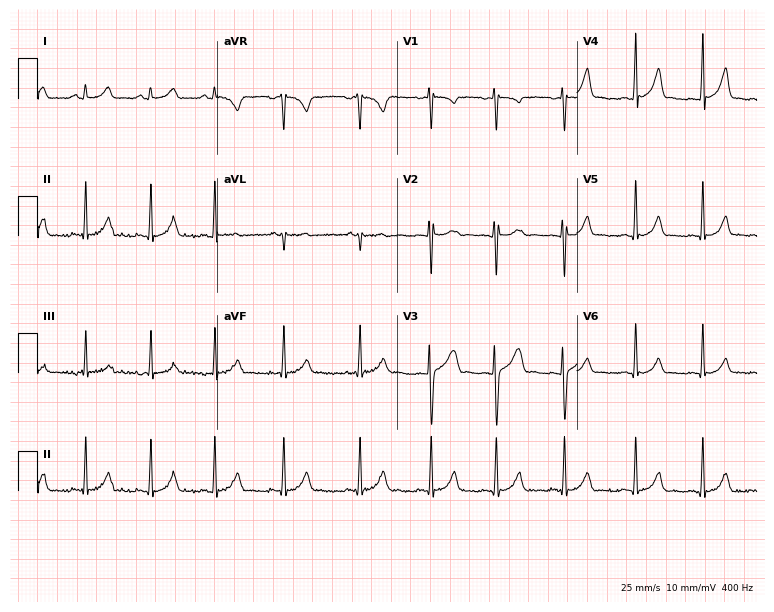
12-lead ECG from a female patient, 19 years old. Labelled as a normal ECG.